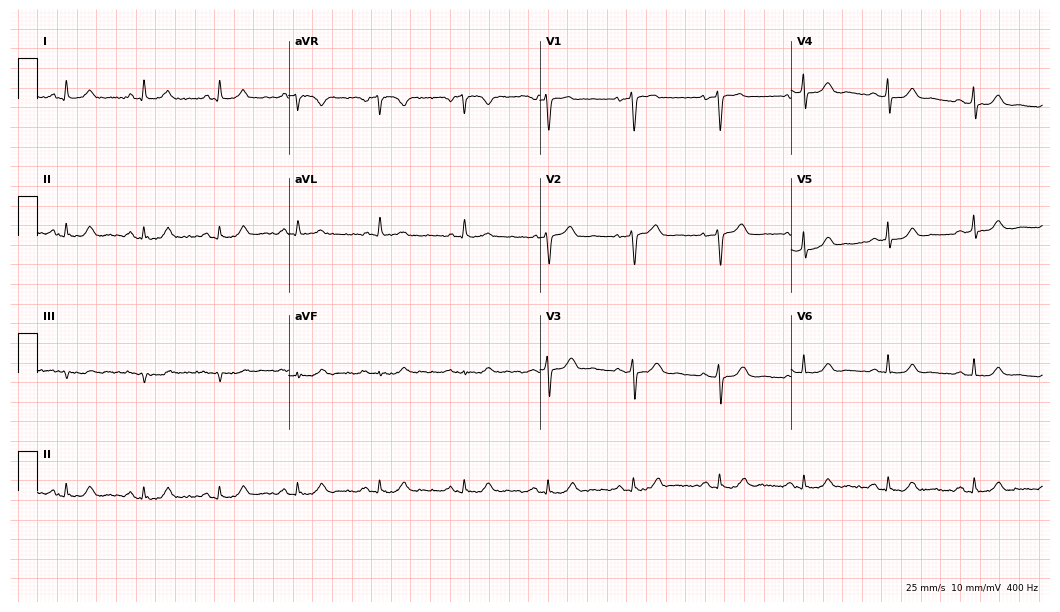
12-lead ECG from a woman, 60 years old (10.2-second recording at 400 Hz). Recorded interpretation: within normal limits.